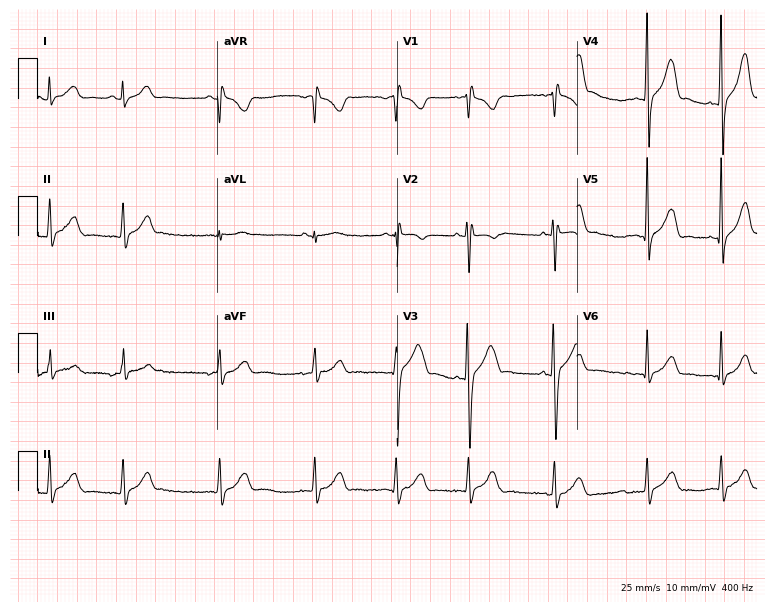
ECG — a man, 17 years old. Labelled as a normal ECG.